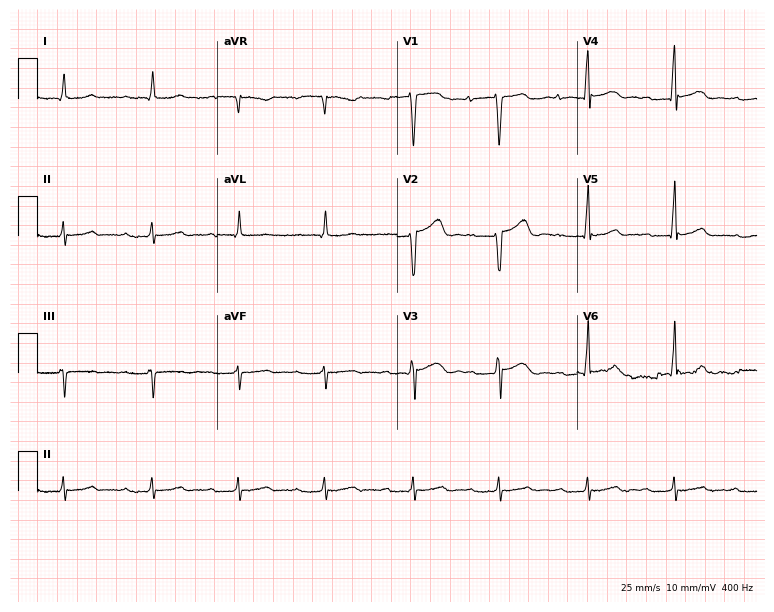
12-lead ECG (7.3-second recording at 400 Hz) from a 46-year-old man. Screened for six findings — first-degree AV block, right bundle branch block, left bundle branch block, sinus bradycardia, atrial fibrillation, sinus tachycardia — none is recorded. Findings outside these six are not listed.